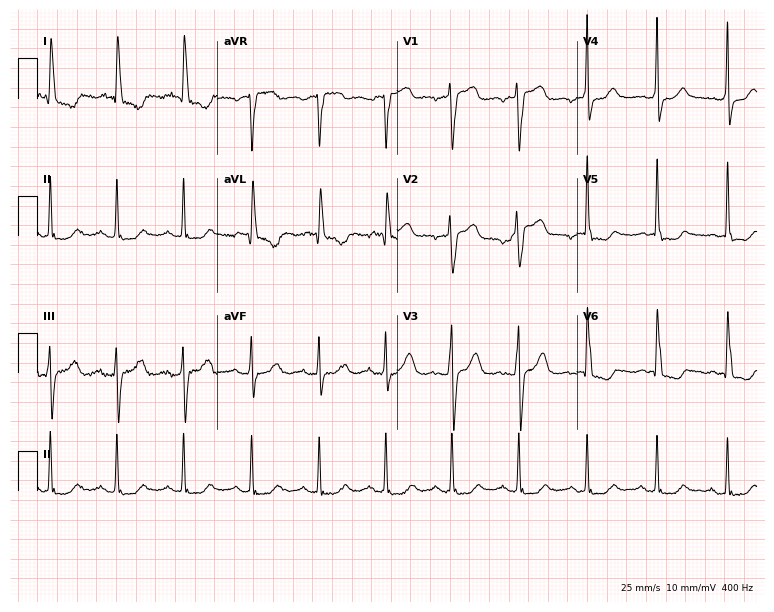
Resting 12-lead electrocardiogram (7.3-second recording at 400 Hz). Patient: a woman, 67 years old. None of these six findings is recorded: first-degree AV block, right bundle branch block, left bundle branch block, sinus bradycardia, atrial fibrillation, sinus tachycardia. Only these six findings were labelled.